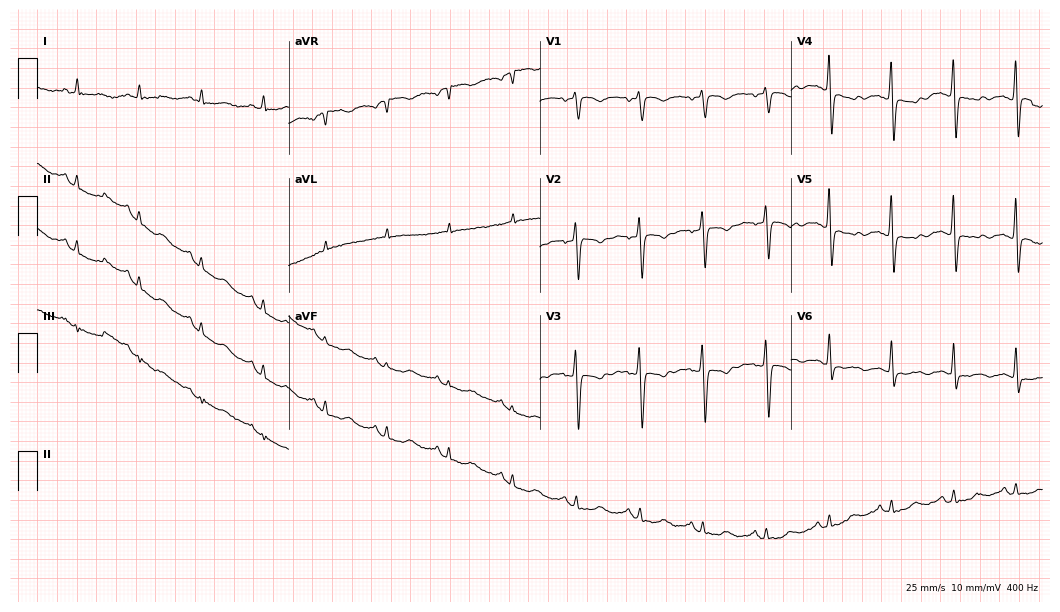
Electrocardiogram (10.2-second recording at 400 Hz), a 61-year-old female. Of the six screened findings (first-degree AV block, right bundle branch block, left bundle branch block, sinus bradycardia, atrial fibrillation, sinus tachycardia), none is recorded.